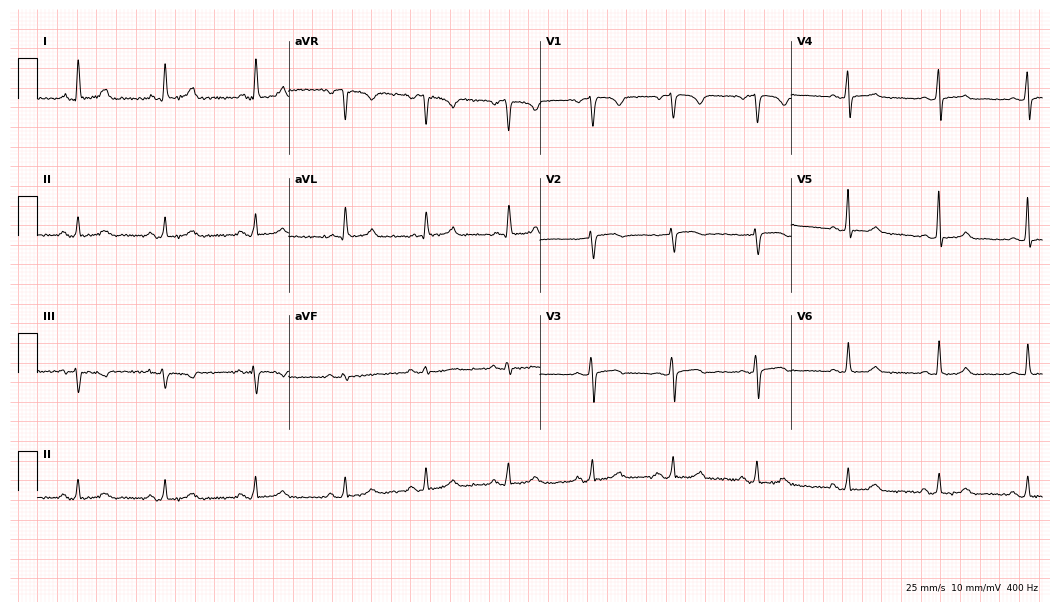
ECG (10.2-second recording at 400 Hz) — a female, 51 years old. Screened for six findings — first-degree AV block, right bundle branch block (RBBB), left bundle branch block (LBBB), sinus bradycardia, atrial fibrillation (AF), sinus tachycardia — none is recorded. Only these six findings were labelled.